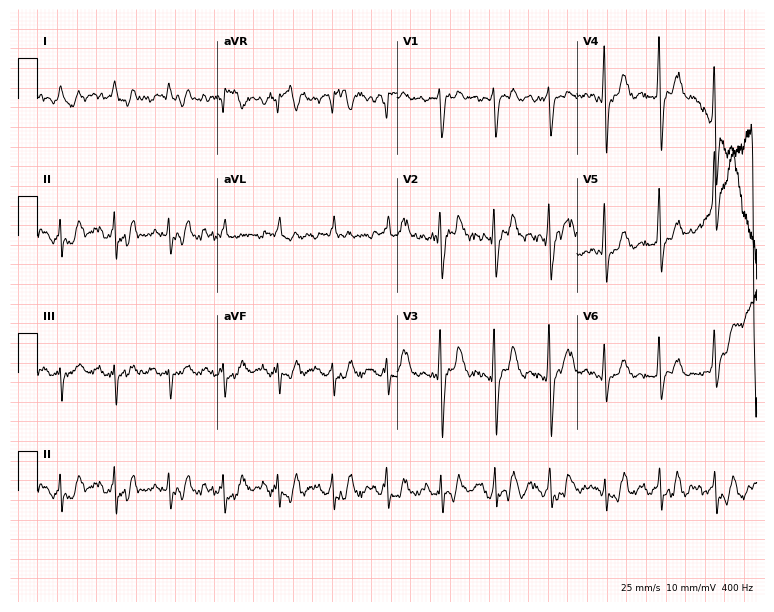
12-lead ECG from a 69-year-old male. Shows sinus tachycardia (a sinus rate of 100 beats per minute or more).